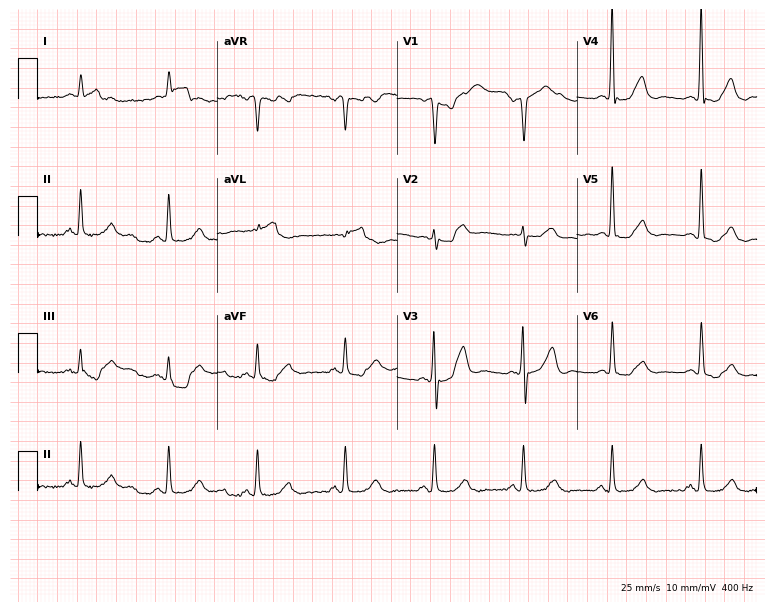
ECG — a man, 62 years old. Screened for six findings — first-degree AV block, right bundle branch block (RBBB), left bundle branch block (LBBB), sinus bradycardia, atrial fibrillation (AF), sinus tachycardia — none is recorded. Findings outside these six are not listed.